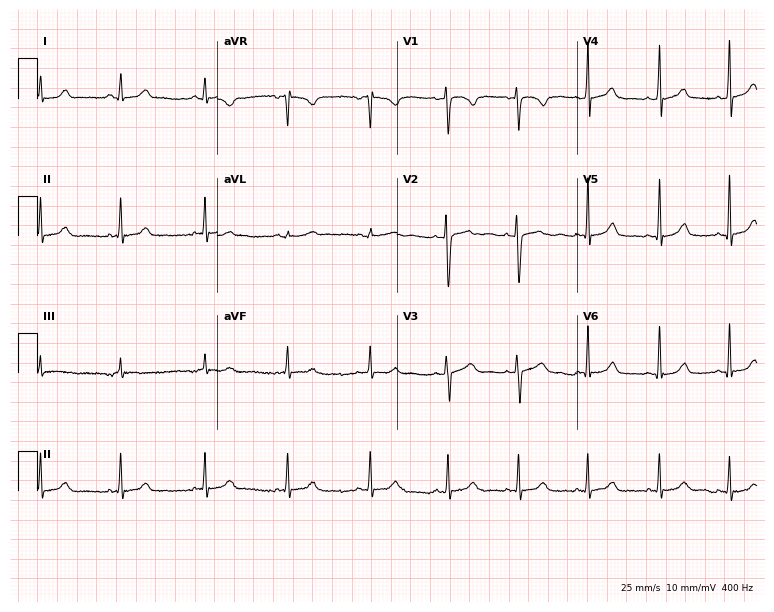
Resting 12-lead electrocardiogram (7.3-second recording at 400 Hz). Patient: a 26-year-old woman. Read as a normal ECG.